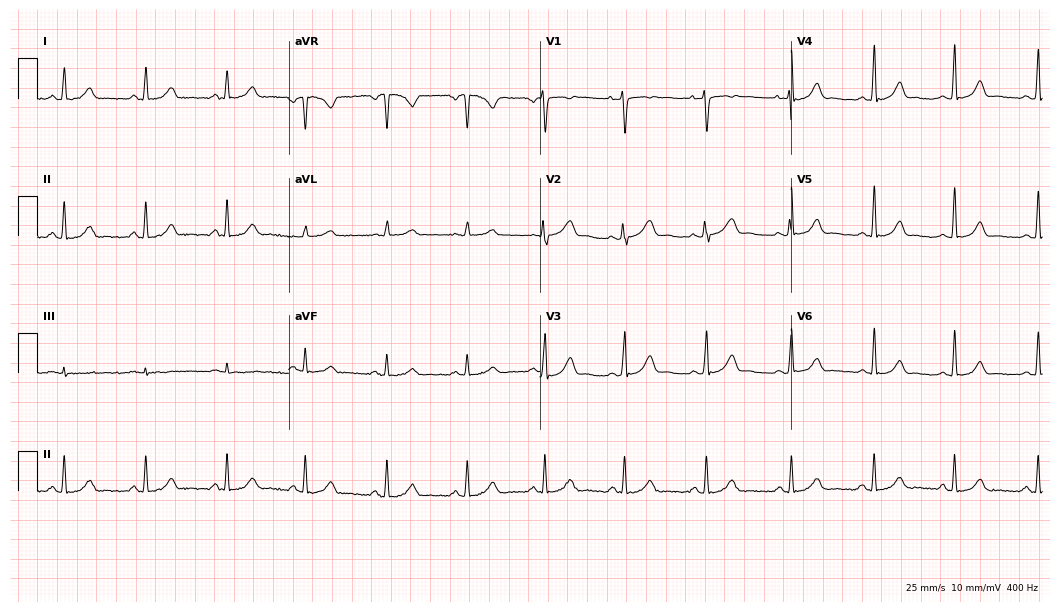
Electrocardiogram (10.2-second recording at 400 Hz), a 28-year-old female. Overall reading on record: normal ECG.